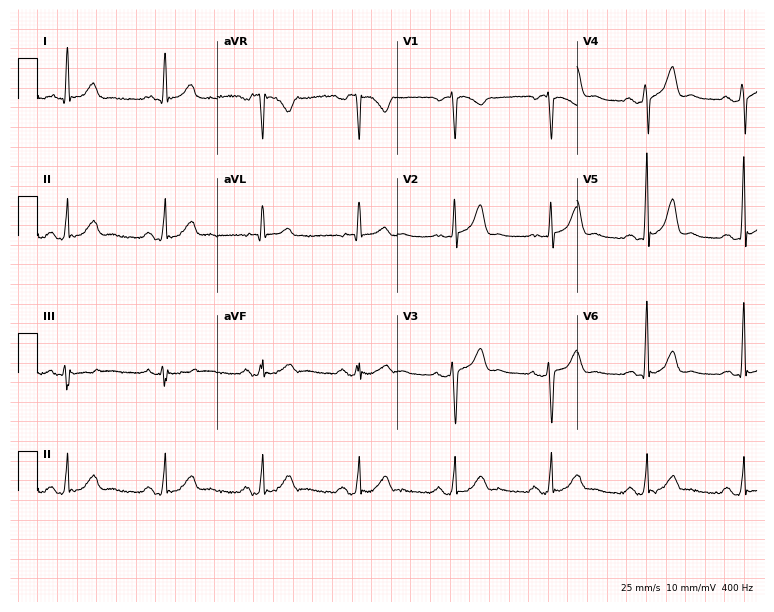
Resting 12-lead electrocardiogram. Patient: a 65-year-old man. None of these six findings is recorded: first-degree AV block, right bundle branch block (RBBB), left bundle branch block (LBBB), sinus bradycardia, atrial fibrillation (AF), sinus tachycardia.